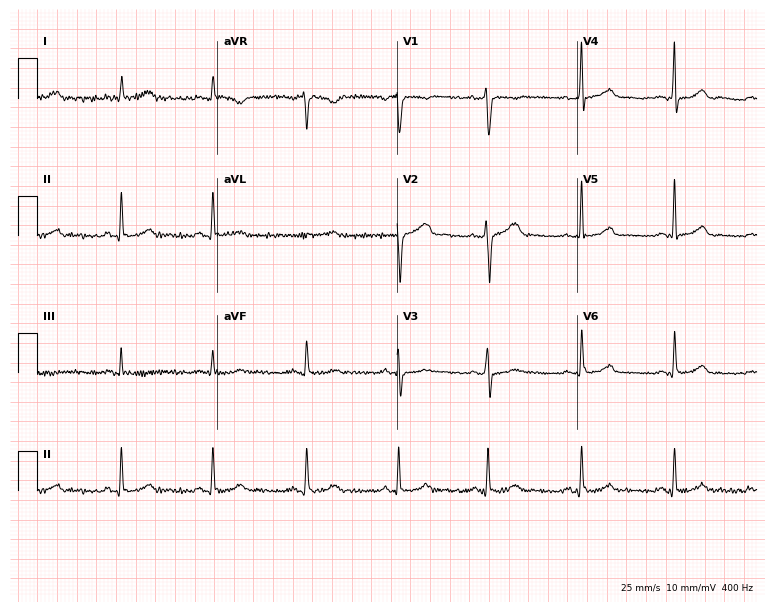
Electrocardiogram, a 35-year-old female patient. Overall reading on record: normal ECG.